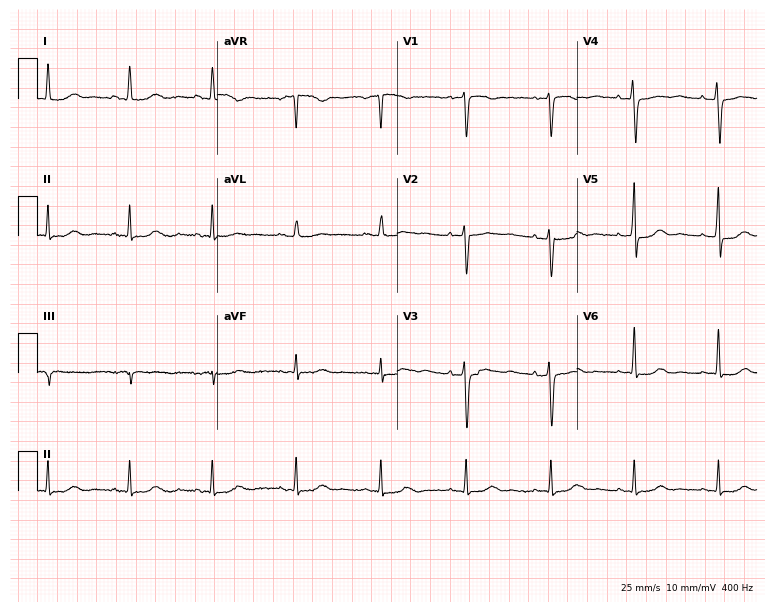
ECG — a 49-year-old woman. Labelled as a normal ECG.